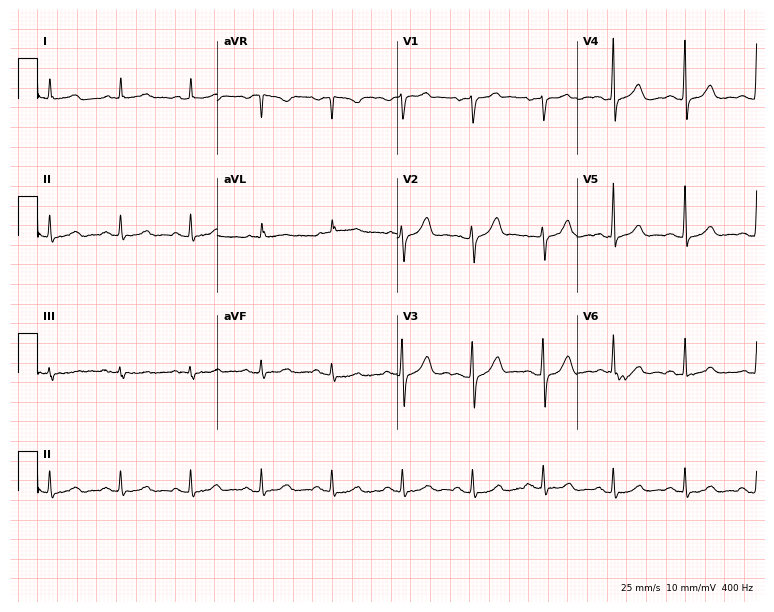
Resting 12-lead electrocardiogram. Patient: a man, 70 years old. Read as a normal ECG.